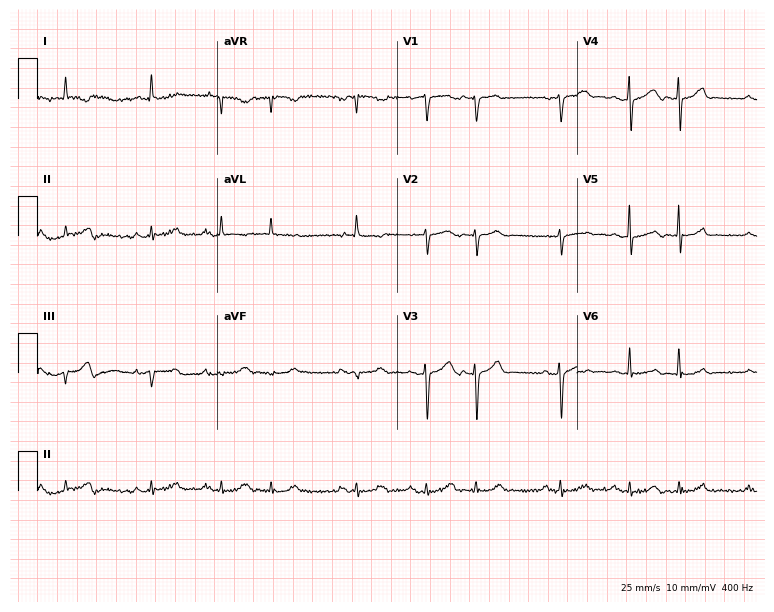
12-lead ECG from a male, 82 years old. Screened for six findings — first-degree AV block, right bundle branch block, left bundle branch block, sinus bradycardia, atrial fibrillation, sinus tachycardia — none is recorded. Other findings, if any, are not listed.